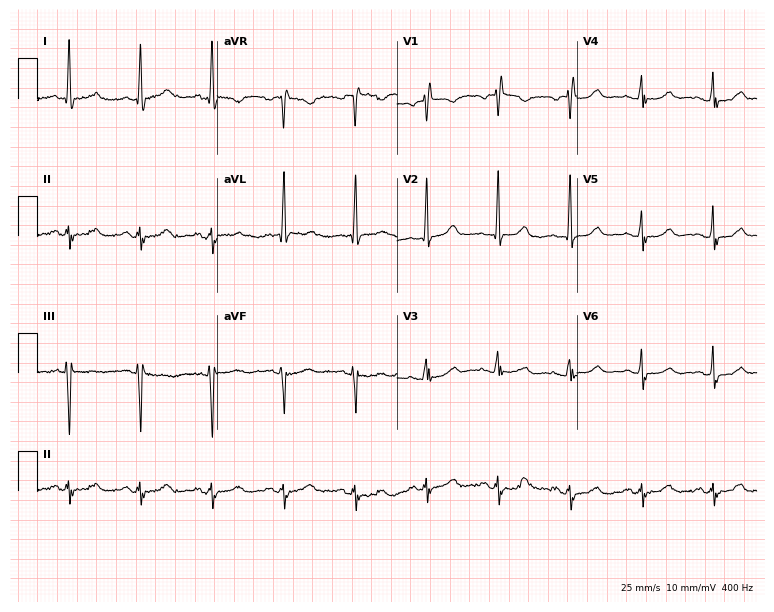
Electrocardiogram, a female patient, 73 years old. Of the six screened findings (first-degree AV block, right bundle branch block (RBBB), left bundle branch block (LBBB), sinus bradycardia, atrial fibrillation (AF), sinus tachycardia), none is recorded.